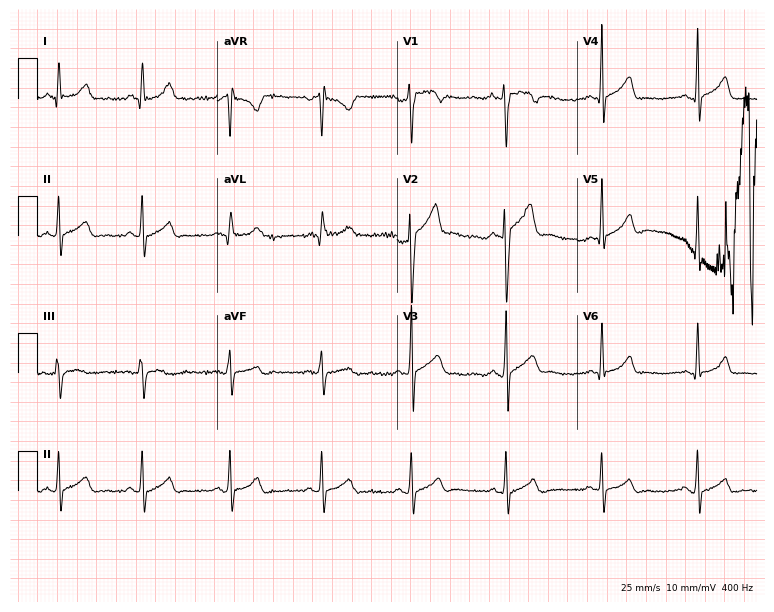
Standard 12-lead ECG recorded from a 23-year-old male (7.3-second recording at 400 Hz). Read as a normal ECG.